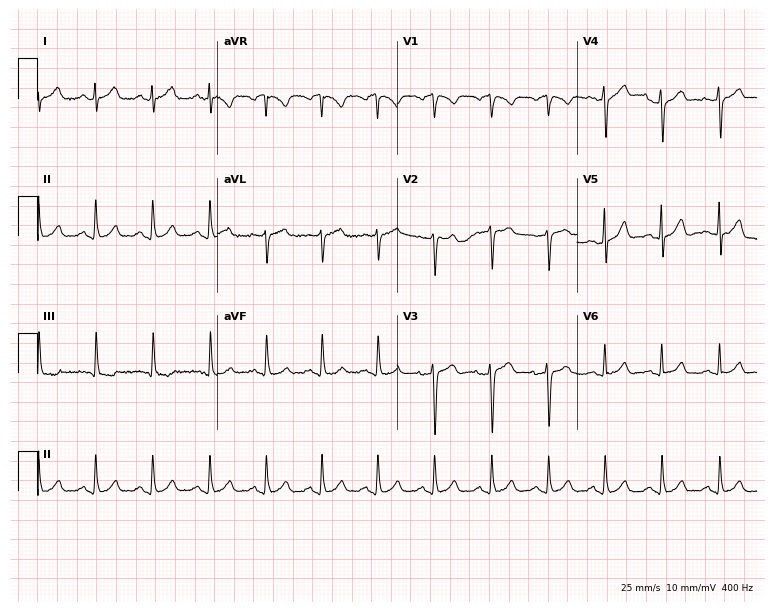
12-lead ECG (7.3-second recording at 400 Hz) from a female patient, 48 years old. Findings include sinus tachycardia (a sinus rate of 100 beats per minute or more).